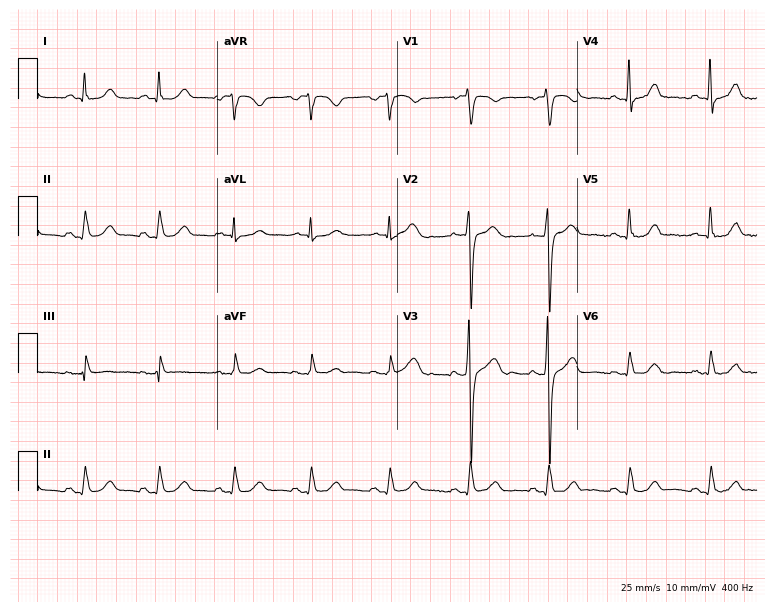
12-lead ECG from a 61-year-old man. Labelled as a normal ECG.